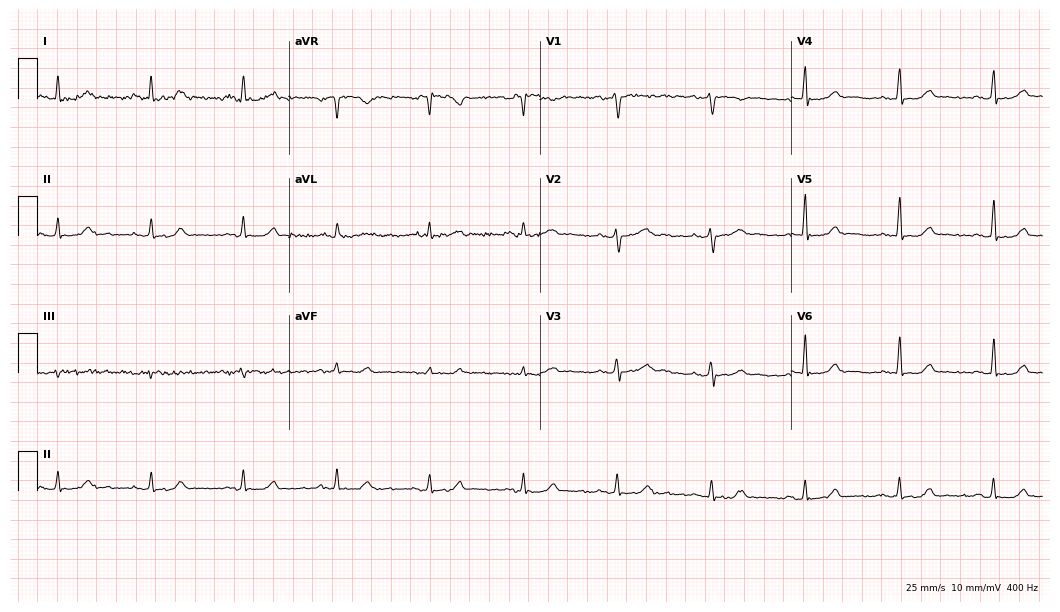
Resting 12-lead electrocardiogram. Patient: a 58-year-old female. Read as a normal ECG.